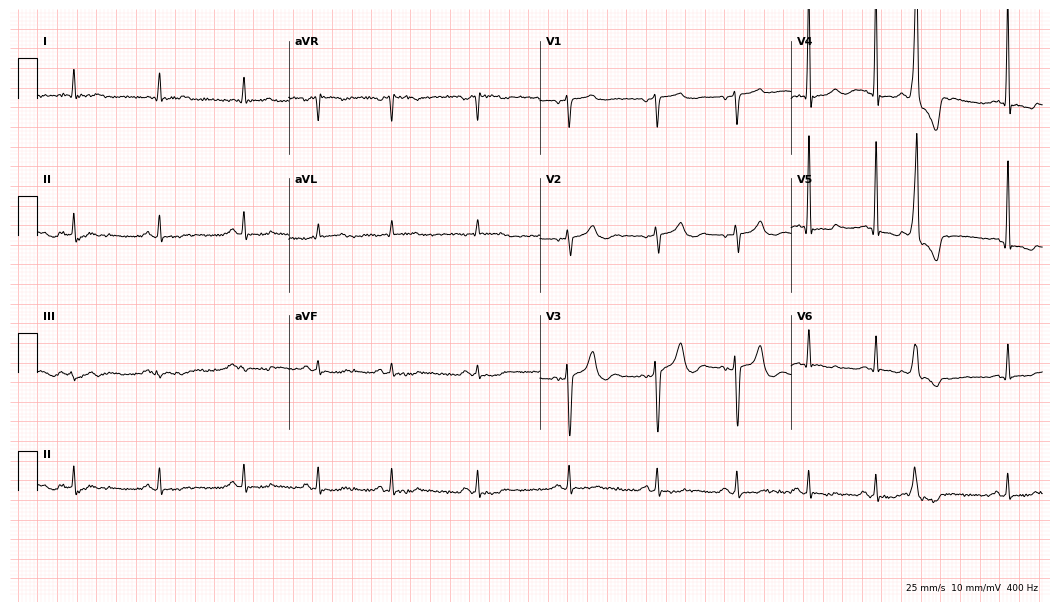
Resting 12-lead electrocardiogram (10.2-second recording at 400 Hz). Patient: a male, 62 years old. Read as a normal ECG.